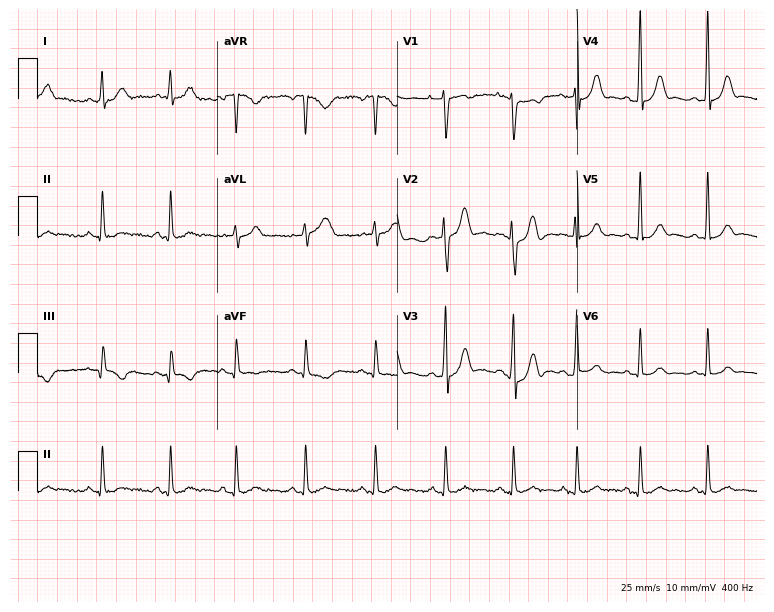
Electrocardiogram, a 24-year-old male patient. Overall reading on record: normal ECG.